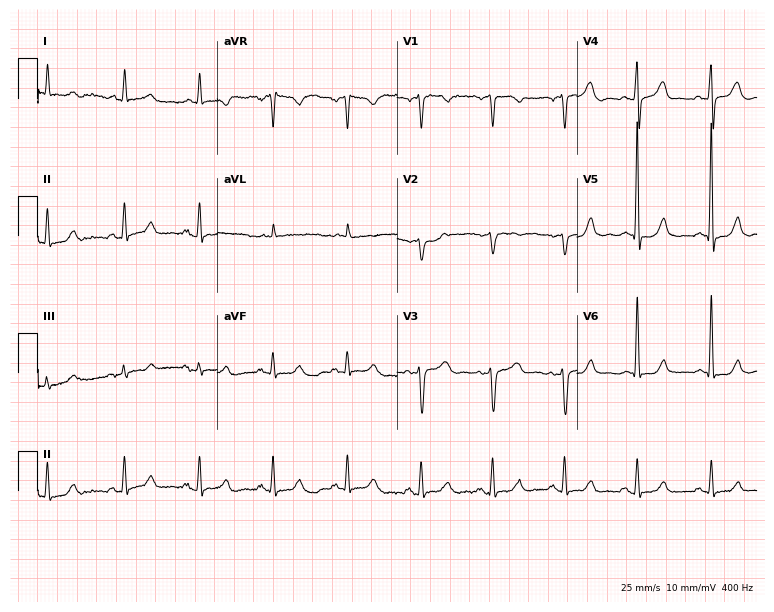
12-lead ECG from a woman, 58 years old. Screened for six findings — first-degree AV block, right bundle branch block, left bundle branch block, sinus bradycardia, atrial fibrillation, sinus tachycardia — none is recorded.